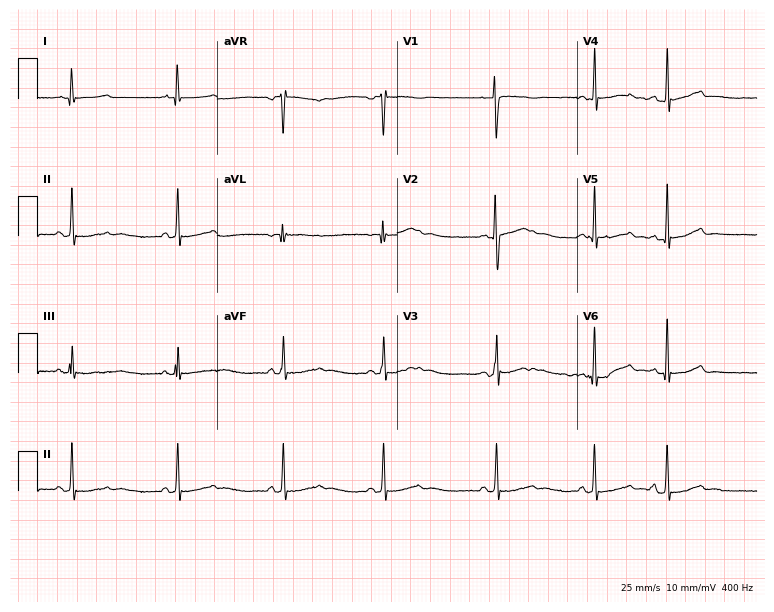
Resting 12-lead electrocardiogram (7.3-second recording at 400 Hz). Patient: a female, 18 years old. None of these six findings is recorded: first-degree AV block, right bundle branch block, left bundle branch block, sinus bradycardia, atrial fibrillation, sinus tachycardia.